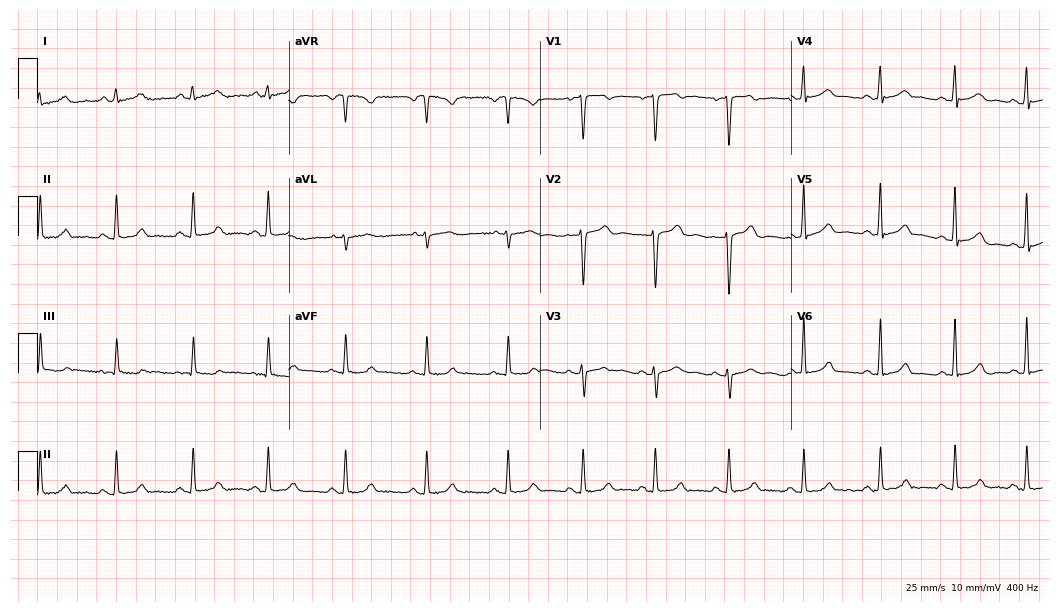
12-lead ECG (10.2-second recording at 400 Hz) from a female, 28 years old. Labelled as a normal ECG.